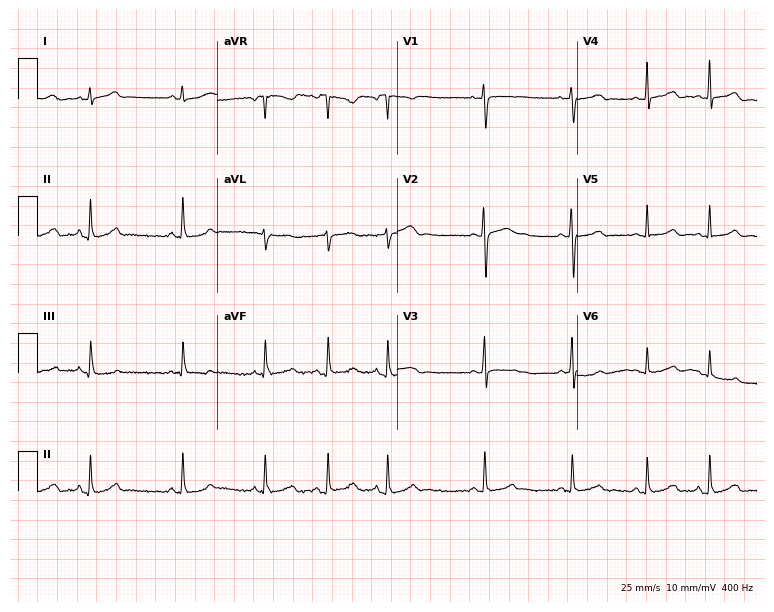
Standard 12-lead ECG recorded from a woman, 19 years old (7.3-second recording at 400 Hz). Read as a normal ECG.